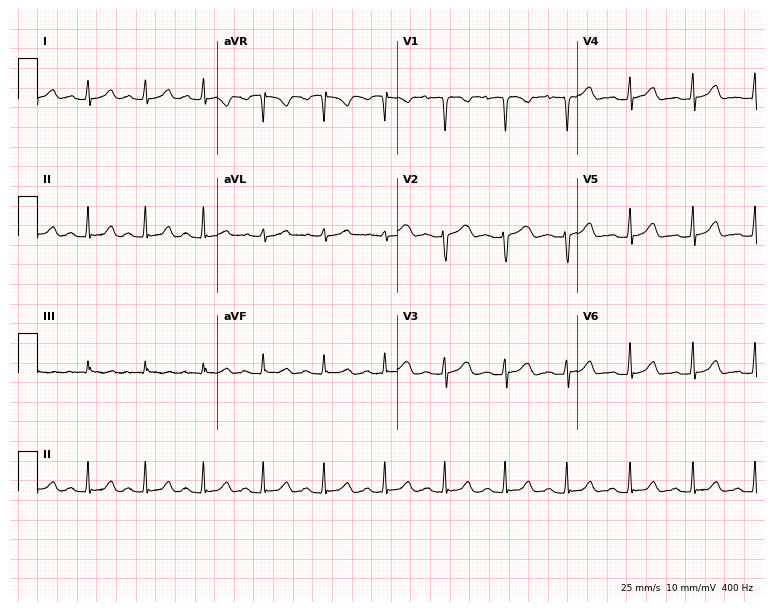
Standard 12-lead ECG recorded from a 26-year-old female. Read as a normal ECG.